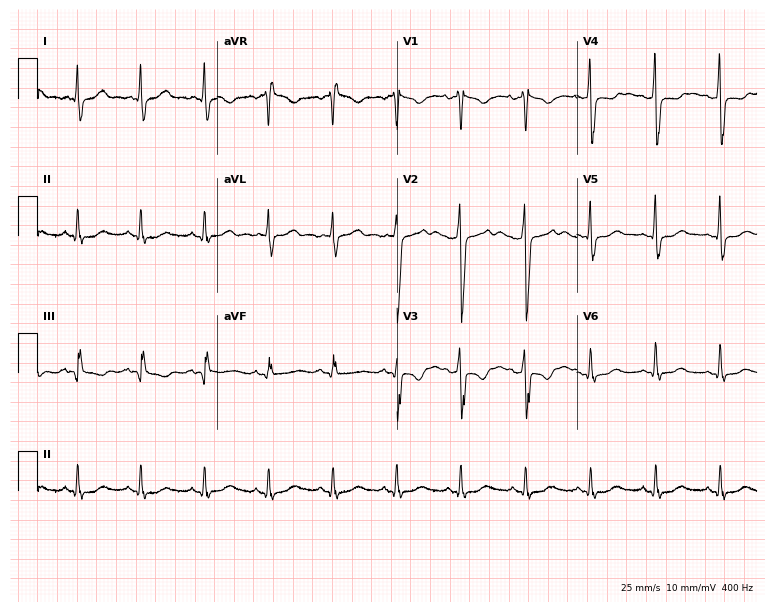
Electrocardiogram, a man, 64 years old. Of the six screened findings (first-degree AV block, right bundle branch block, left bundle branch block, sinus bradycardia, atrial fibrillation, sinus tachycardia), none is recorded. Only these six findings were labelled.